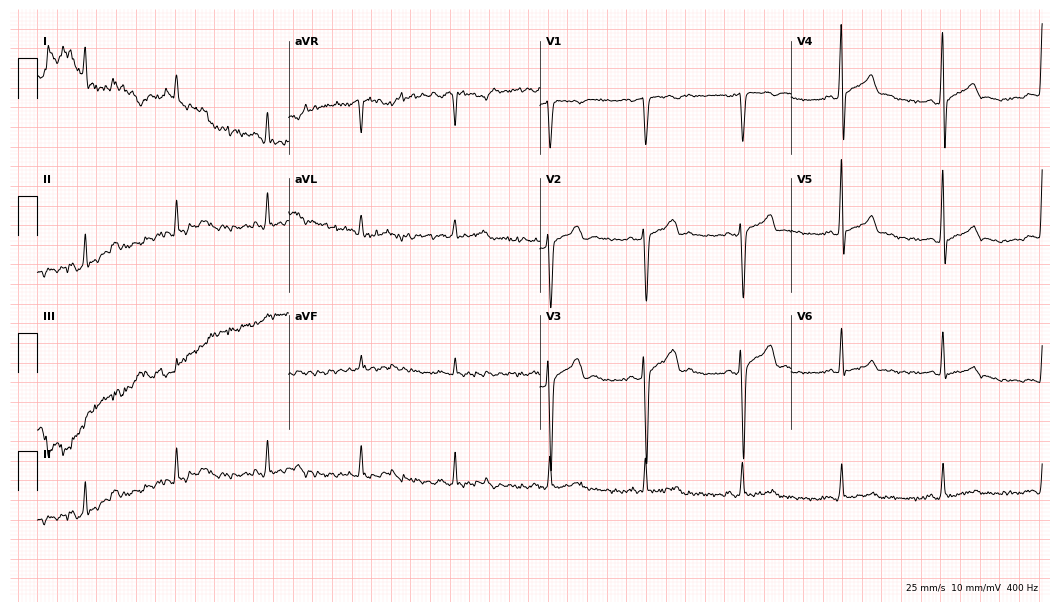
Resting 12-lead electrocardiogram. Patient: a man, 47 years old. None of these six findings is recorded: first-degree AV block, right bundle branch block, left bundle branch block, sinus bradycardia, atrial fibrillation, sinus tachycardia. Findings outside these six are not listed.